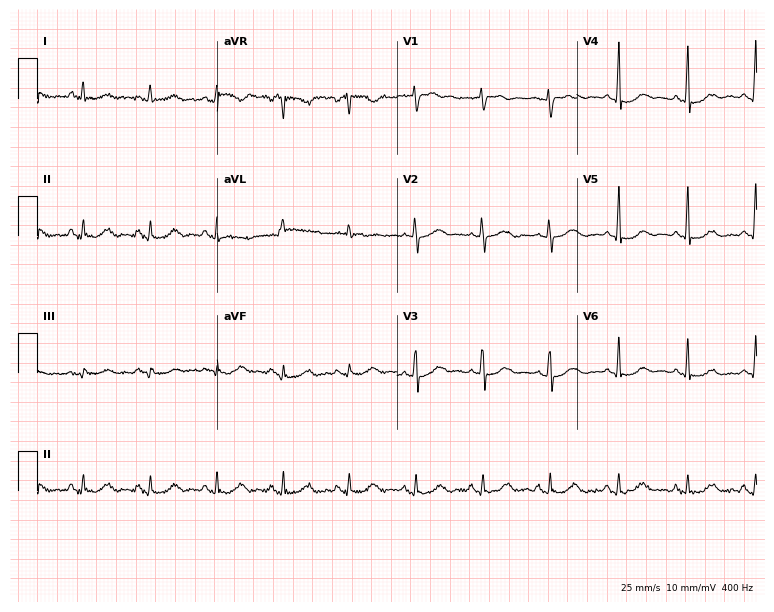
Standard 12-lead ECG recorded from a 66-year-old female (7.3-second recording at 400 Hz). None of these six findings is recorded: first-degree AV block, right bundle branch block (RBBB), left bundle branch block (LBBB), sinus bradycardia, atrial fibrillation (AF), sinus tachycardia.